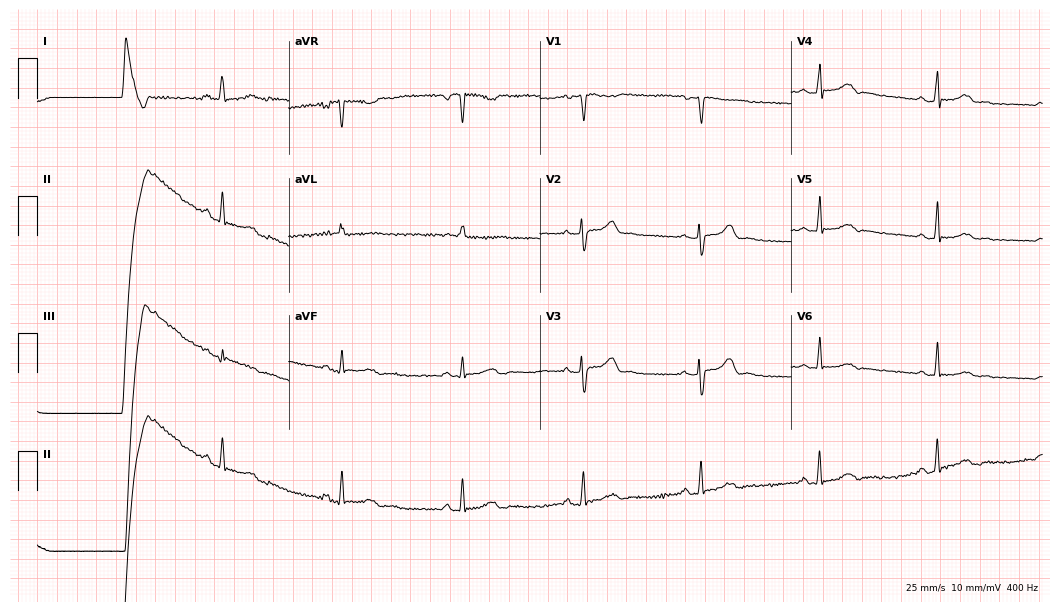
Resting 12-lead electrocardiogram. Patient: a female, 49 years old. None of these six findings is recorded: first-degree AV block, right bundle branch block, left bundle branch block, sinus bradycardia, atrial fibrillation, sinus tachycardia.